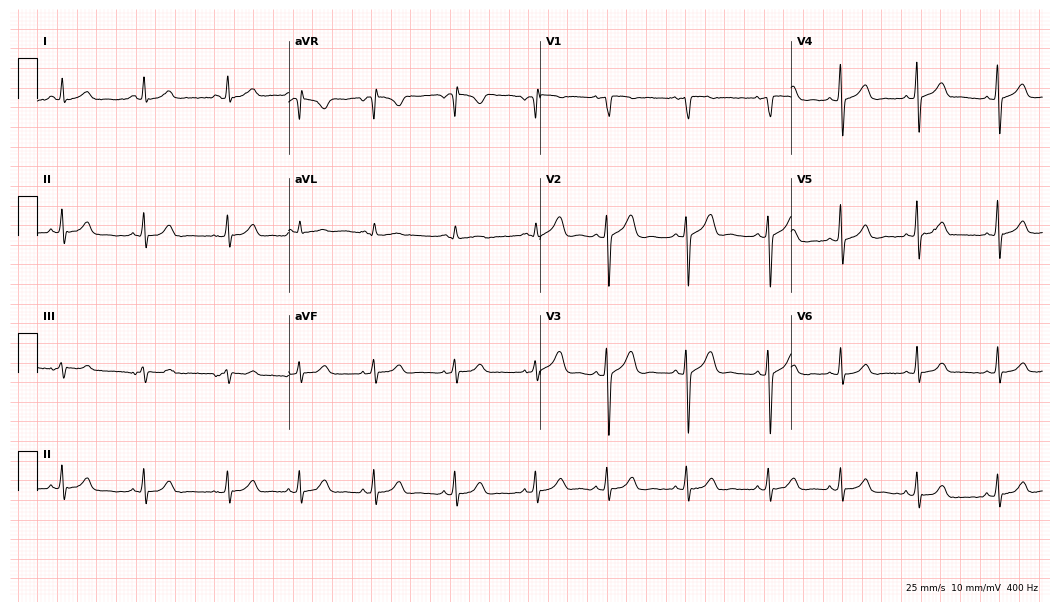
Resting 12-lead electrocardiogram (10.2-second recording at 400 Hz). Patient: a female, 20 years old. Read as a normal ECG.